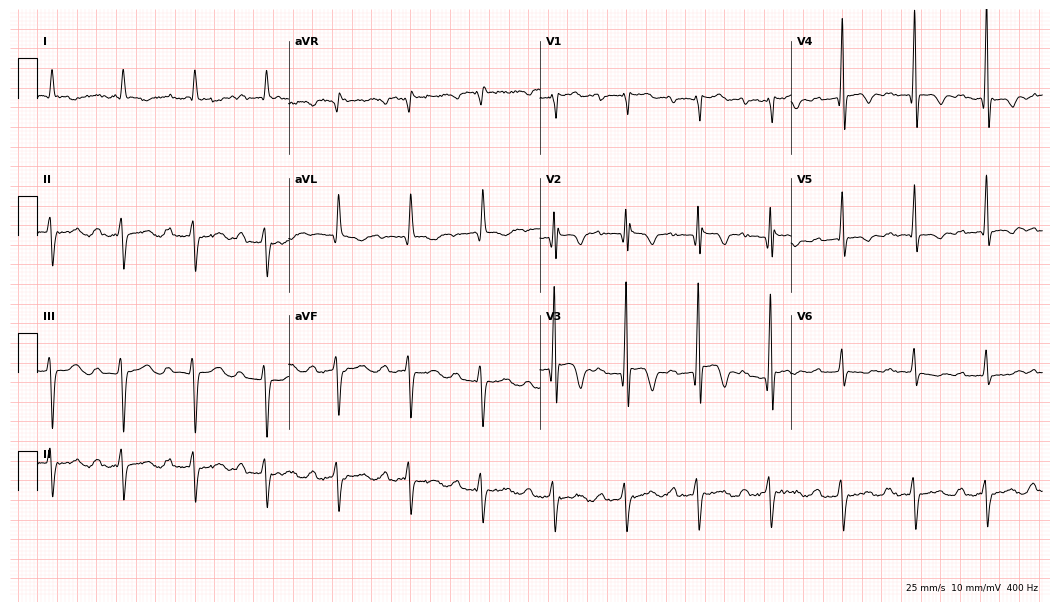
ECG — a 57-year-old male. Findings include first-degree AV block.